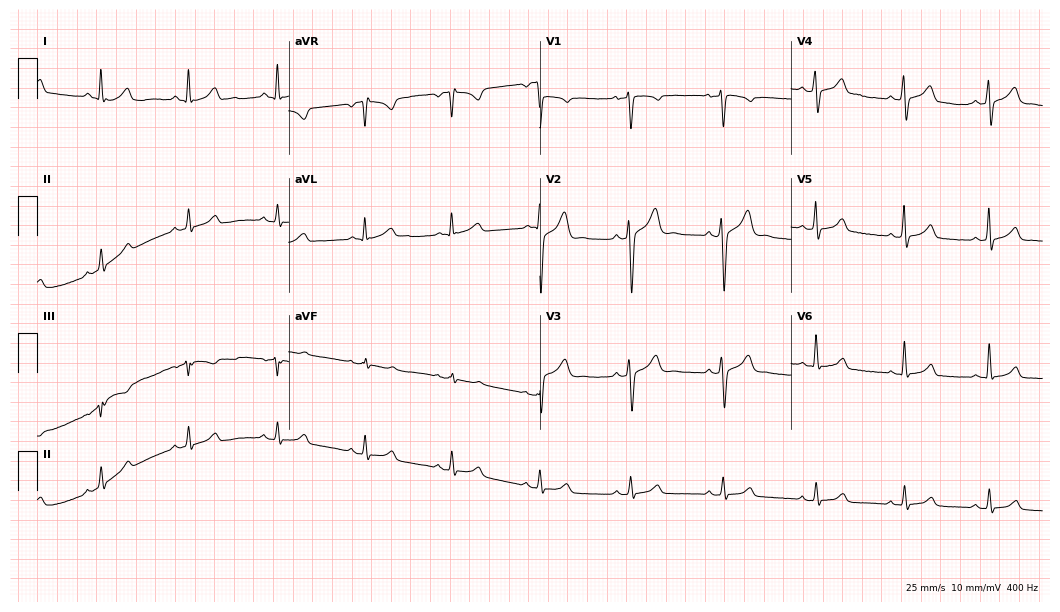
12-lead ECG from a 28-year-old male. No first-degree AV block, right bundle branch block, left bundle branch block, sinus bradycardia, atrial fibrillation or sinus tachycardia recorded for this tracing. Only these six findings were labelled.